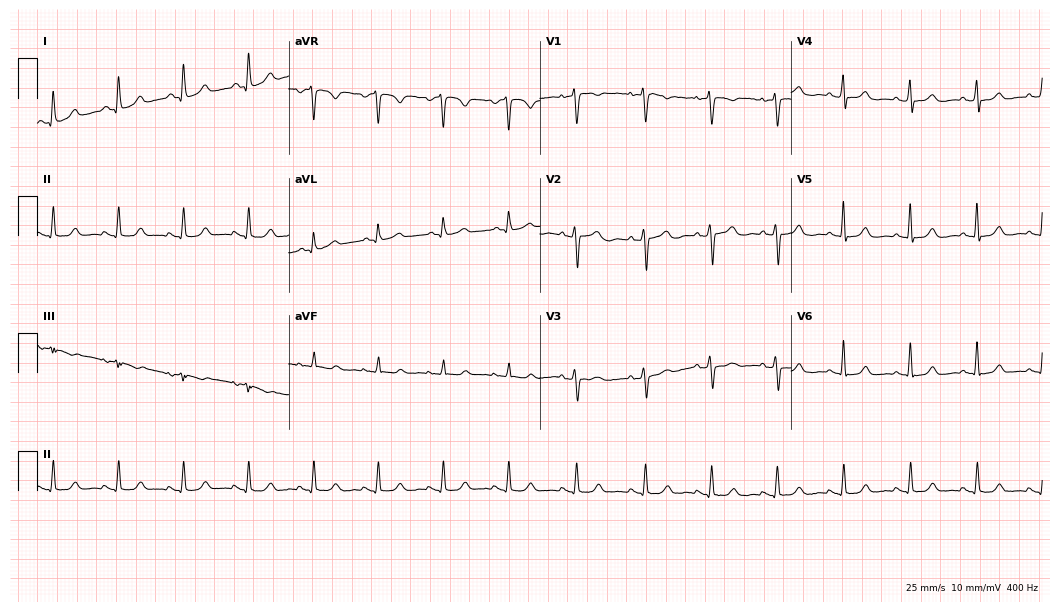
ECG — a 43-year-old woman. Screened for six findings — first-degree AV block, right bundle branch block, left bundle branch block, sinus bradycardia, atrial fibrillation, sinus tachycardia — none is recorded. Only these six findings were labelled.